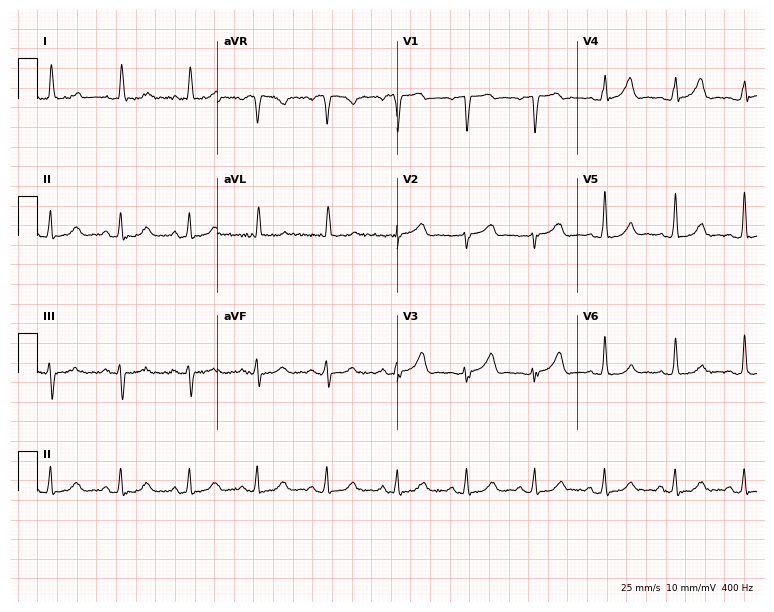
ECG (7.3-second recording at 400 Hz) — a woman, 67 years old. Labelled as a normal ECG.